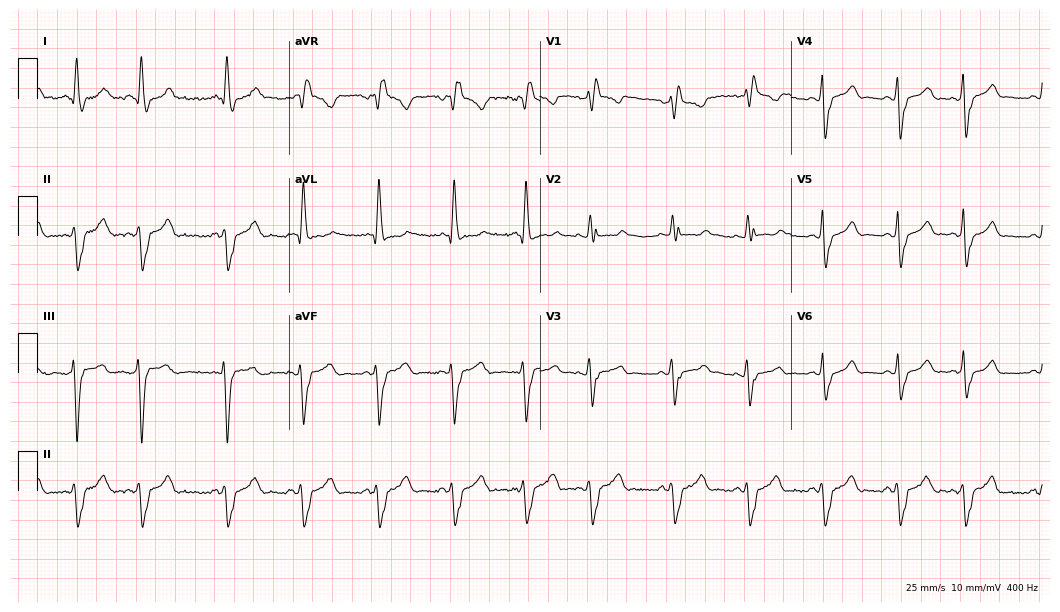
Standard 12-lead ECG recorded from a woman, 39 years old. None of these six findings is recorded: first-degree AV block, right bundle branch block, left bundle branch block, sinus bradycardia, atrial fibrillation, sinus tachycardia. Only these six findings were labelled.